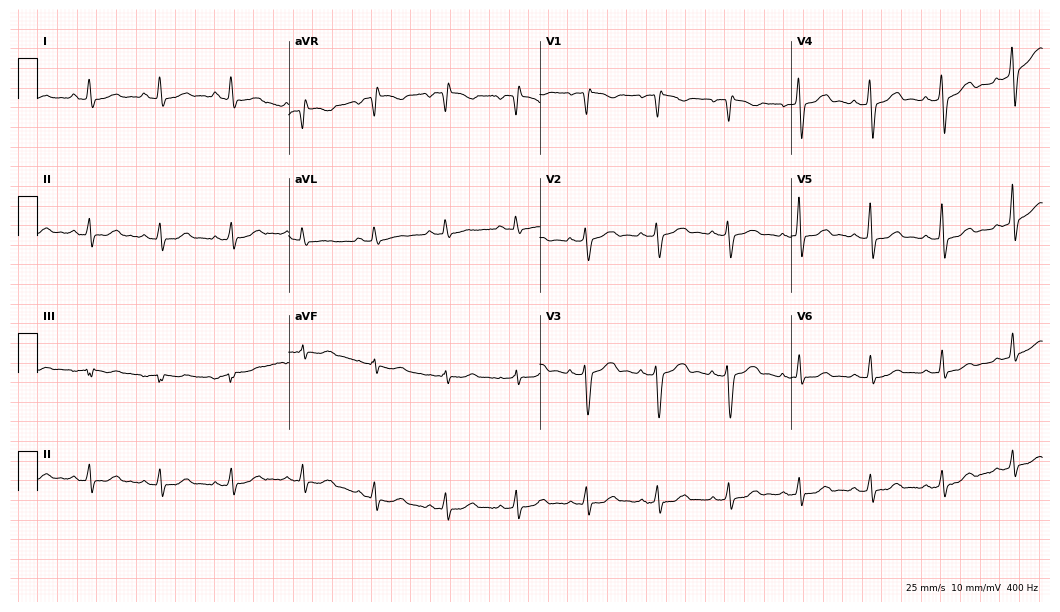
Resting 12-lead electrocardiogram (10.2-second recording at 400 Hz). Patient: a 46-year-old woman. None of these six findings is recorded: first-degree AV block, right bundle branch block (RBBB), left bundle branch block (LBBB), sinus bradycardia, atrial fibrillation (AF), sinus tachycardia. Only these six findings were labelled.